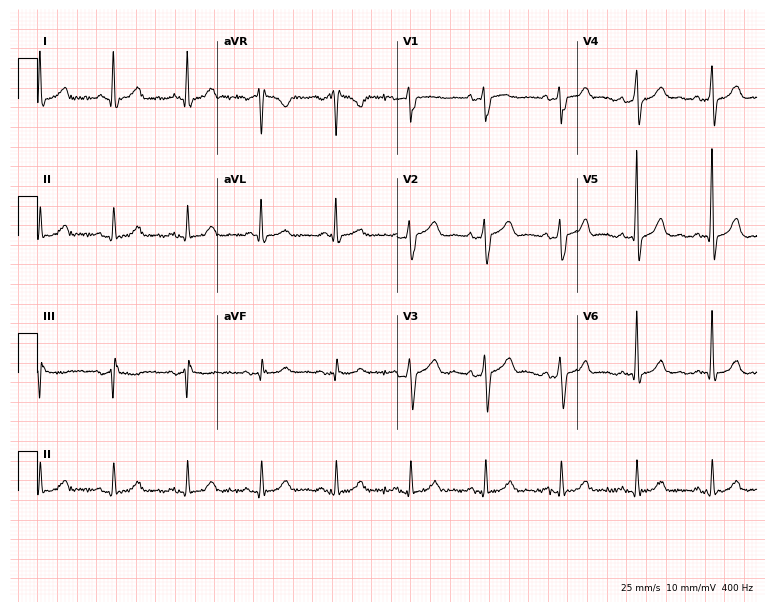
ECG — a male patient, 67 years old. Labelled as a normal ECG.